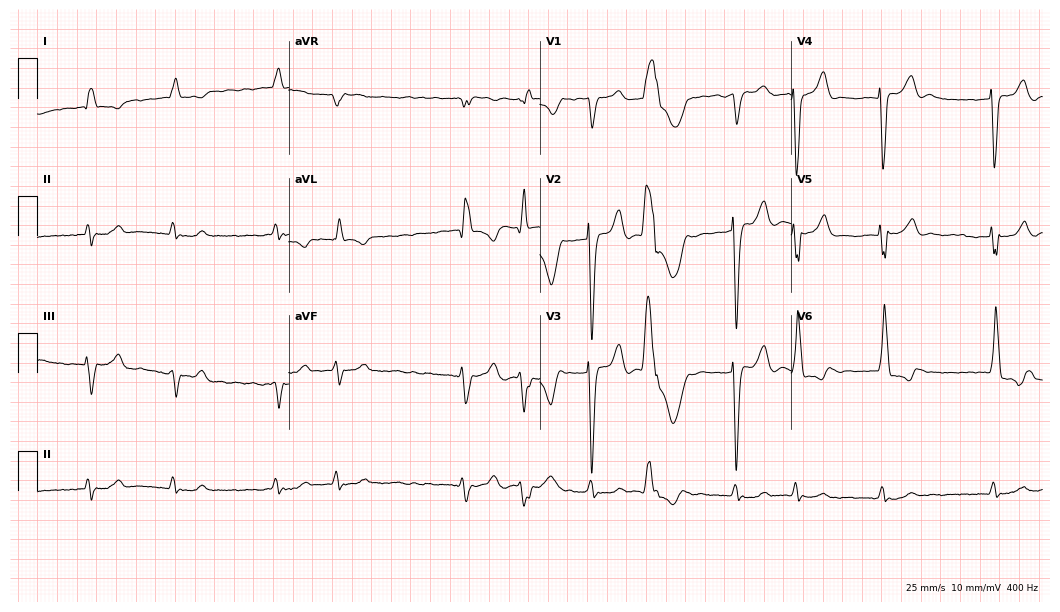
12-lead ECG from a 68-year-old man (10.2-second recording at 400 Hz). Shows left bundle branch block (LBBB), atrial fibrillation (AF).